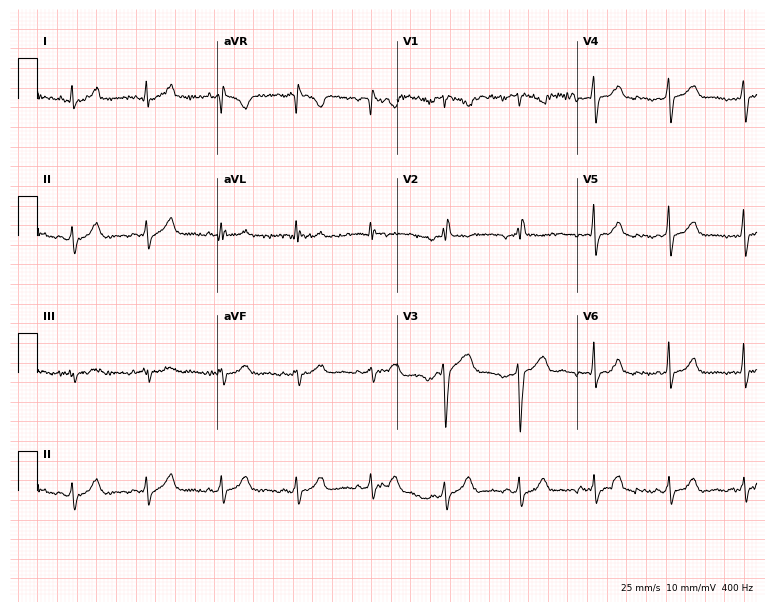
12-lead ECG (7.3-second recording at 400 Hz) from a female, 41 years old. Screened for six findings — first-degree AV block, right bundle branch block, left bundle branch block, sinus bradycardia, atrial fibrillation, sinus tachycardia — none is recorded.